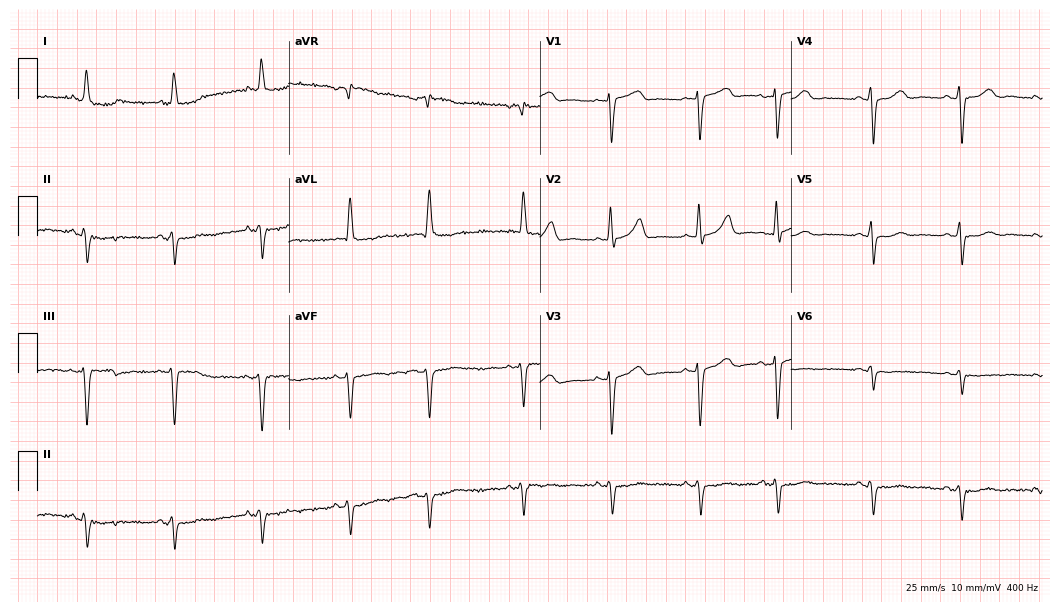
12-lead ECG from an 81-year-old female. No first-degree AV block, right bundle branch block (RBBB), left bundle branch block (LBBB), sinus bradycardia, atrial fibrillation (AF) or sinus tachycardia recorded for this tracing.